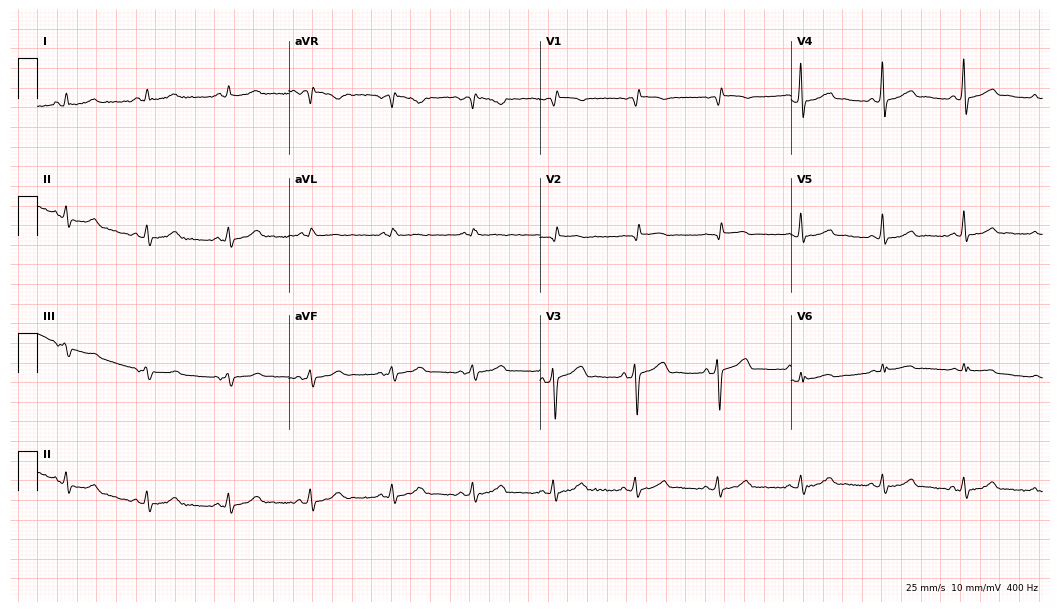
Standard 12-lead ECG recorded from a male patient, 60 years old (10.2-second recording at 400 Hz). None of these six findings is recorded: first-degree AV block, right bundle branch block, left bundle branch block, sinus bradycardia, atrial fibrillation, sinus tachycardia. Findings outside these six are not listed.